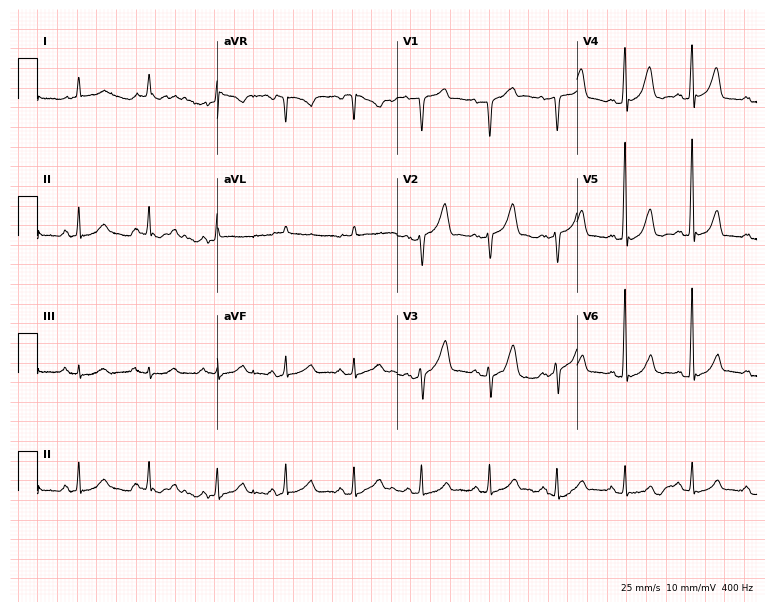
12-lead ECG from a male, 60 years old. Recorded interpretation: within normal limits.